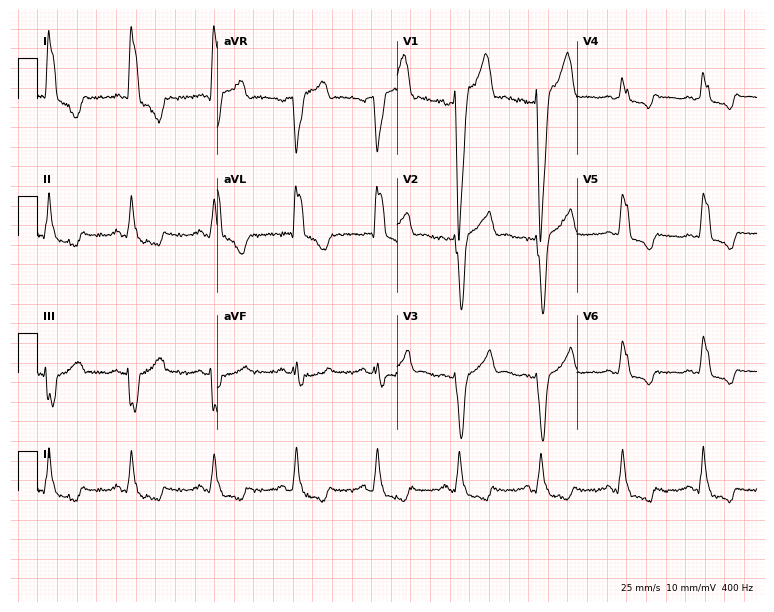
Resting 12-lead electrocardiogram (7.3-second recording at 400 Hz). Patient: a woman, 62 years old. The tracing shows left bundle branch block.